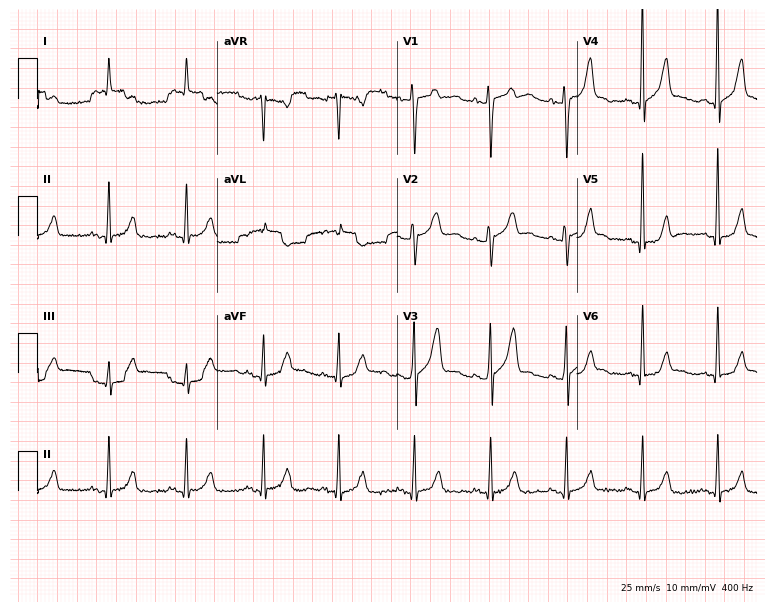
12-lead ECG from a woman, 80 years old (7.3-second recording at 400 Hz). No first-degree AV block, right bundle branch block, left bundle branch block, sinus bradycardia, atrial fibrillation or sinus tachycardia recorded for this tracing. Other findings, if any, are not listed.